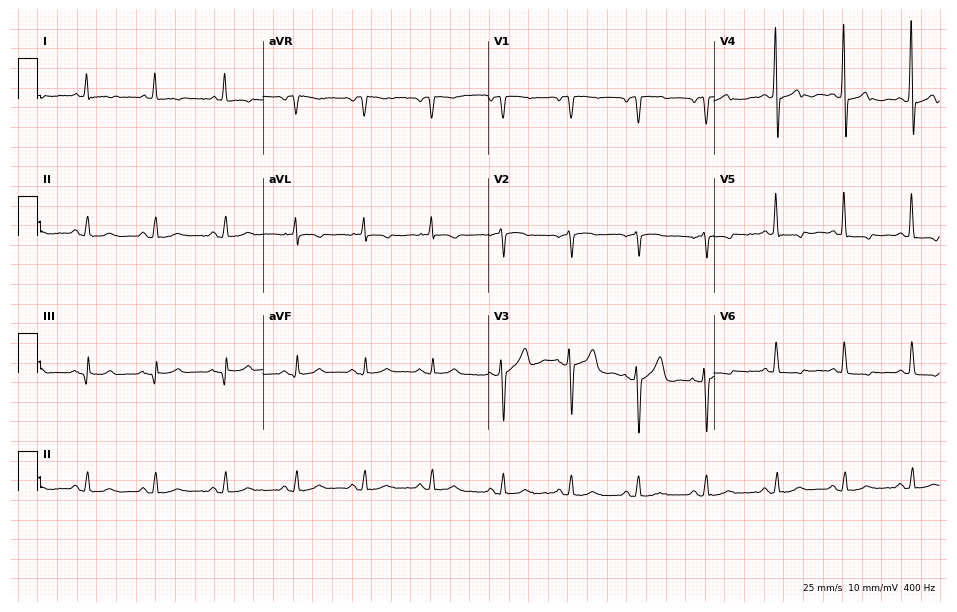
ECG (9.2-second recording at 400 Hz) — a 68-year-old man. Screened for six findings — first-degree AV block, right bundle branch block (RBBB), left bundle branch block (LBBB), sinus bradycardia, atrial fibrillation (AF), sinus tachycardia — none is recorded.